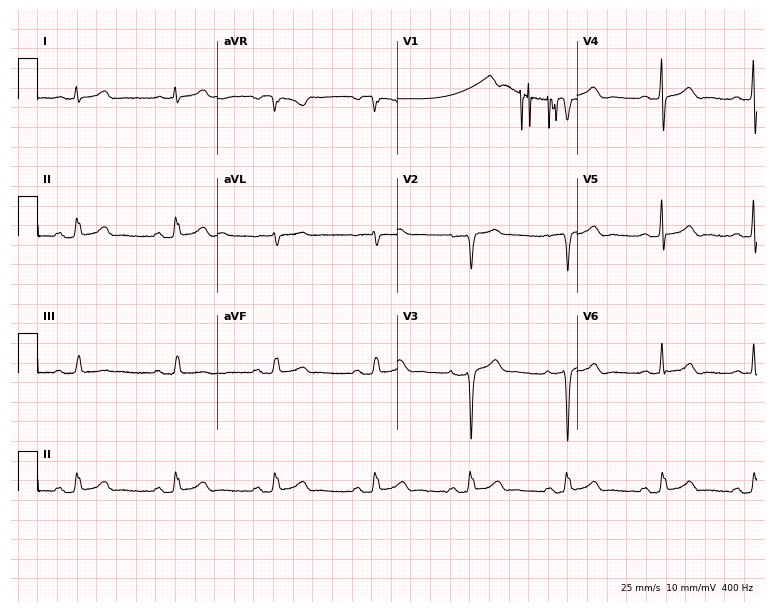
Resting 12-lead electrocardiogram (7.3-second recording at 400 Hz). Patient: a 60-year-old female. None of these six findings is recorded: first-degree AV block, right bundle branch block, left bundle branch block, sinus bradycardia, atrial fibrillation, sinus tachycardia. Other findings, if any, are not listed.